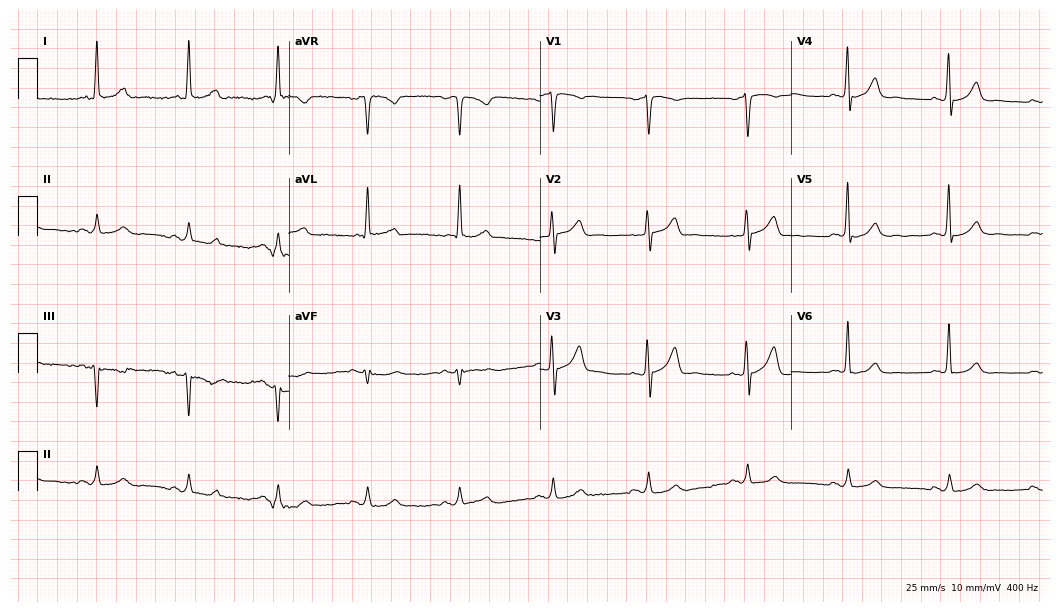
Resting 12-lead electrocardiogram. Patient: a 73-year-old female. Read as a normal ECG.